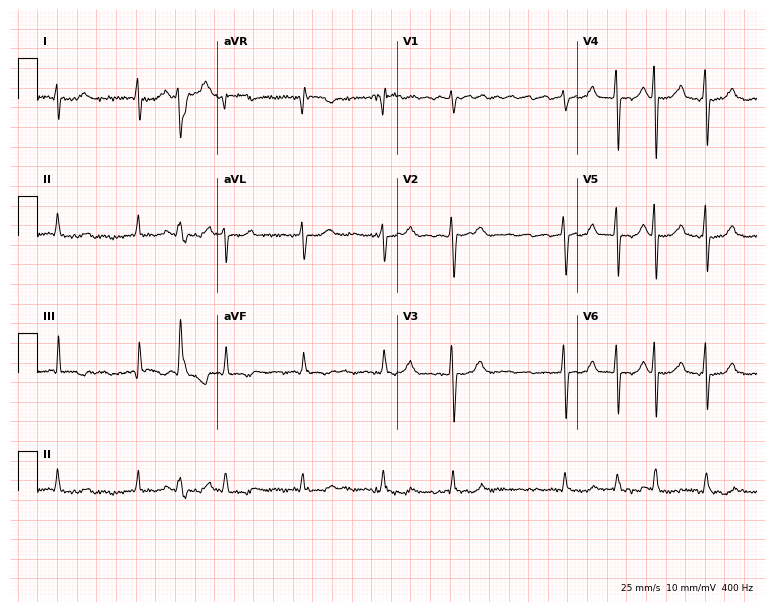
ECG — a 45-year-old female patient. Findings include atrial fibrillation.